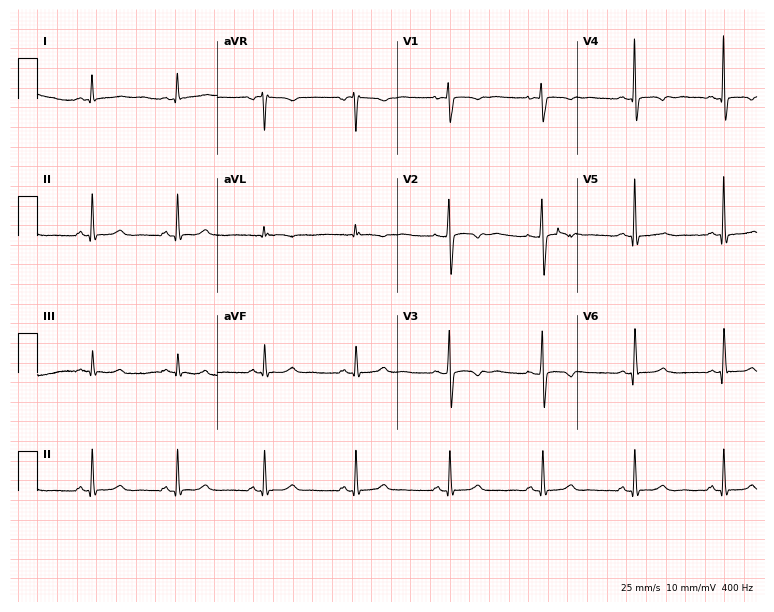
Electrocardiogram (7.3-second recording at 400 Hz), a female, 33 years old. Of the six screened findings (first-degree AV block, right bundle branch block (RBBB), left bundle branch block (LBBB), sinus bradycardia, atrial fibrillation (AF), sinus tachycardia), none is recorded. Findings outside these six are not listed.